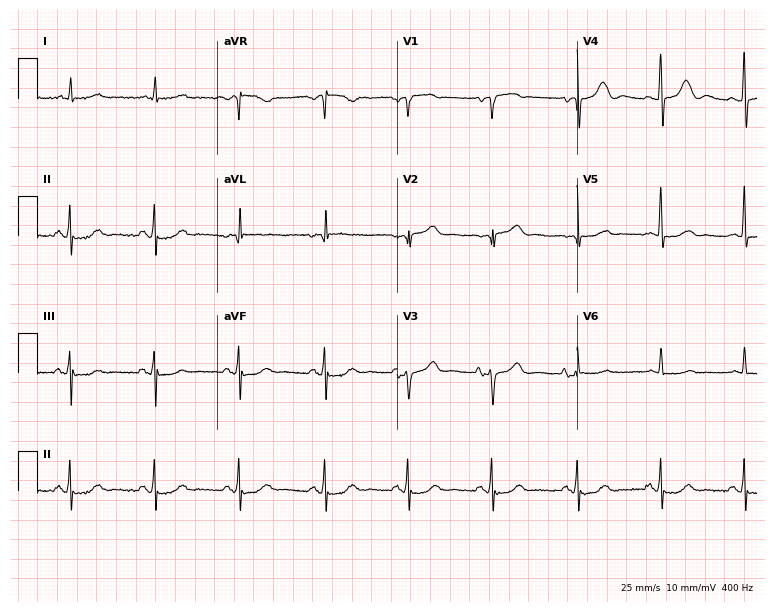
Standard 12-lead ECG recorded from a 73-year-old woman (7.3-second recording at 400 Hz). None of these six findings is recorded: first-degree AV block, right bundle branch block, left bundle branch block, sinus bradycardia, atrial fibrillation, sinus tachycardia. Only these six findings were labelled.